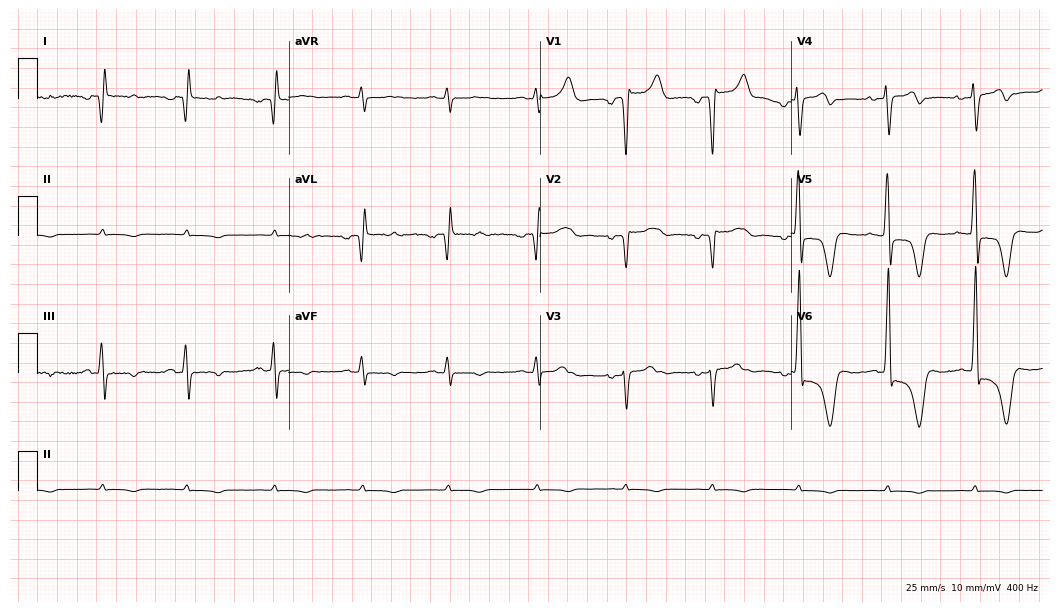
12-lead ECG (10.2-second recording at 400 Hz) from a female, 68 years old. Screened for six findings — first-degree AV block, right bundle branch block, left bundle branch block, sinus bradycardia, atrial fibrillation, sinus tachycardia — none is recorded.